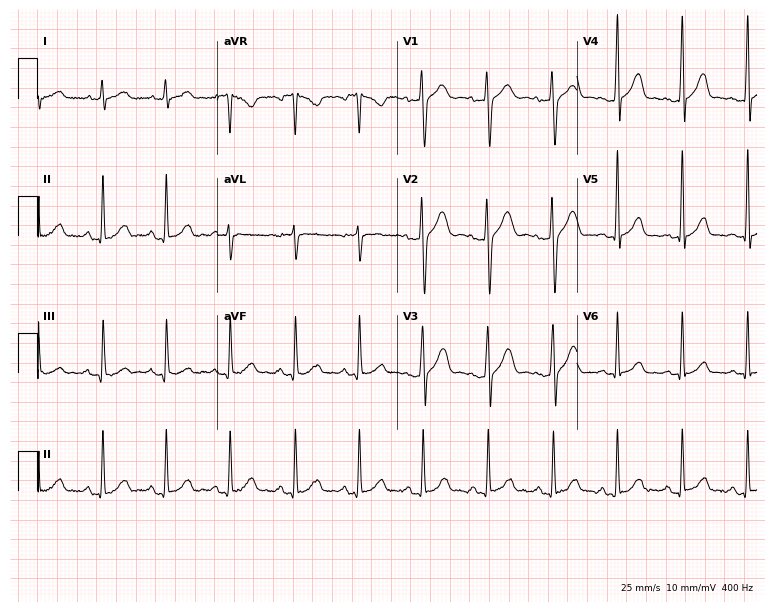
Electrocardiogram (7.3-second recording at 400 Hz), a 19-year-old man. Overall reading on record: normal ECG.